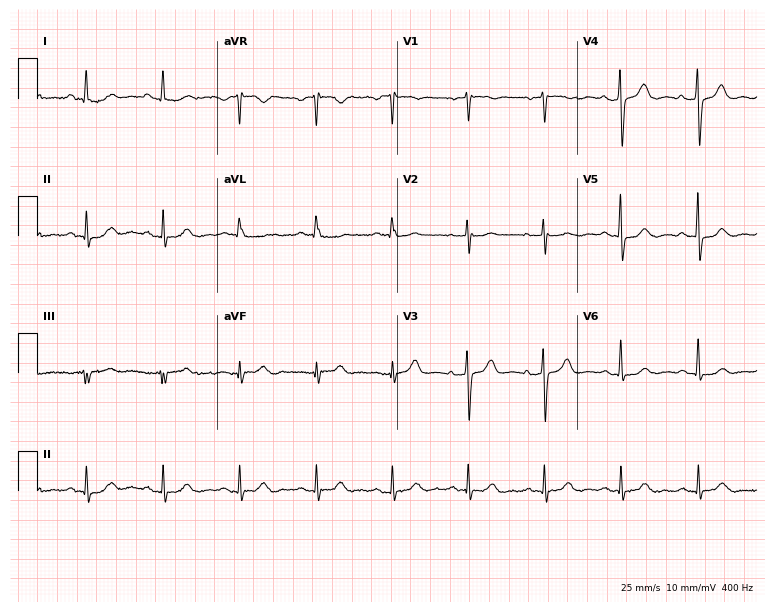
12-lead ECG from a 62-year-old male patient. No first-degree AV block, right bundle branch block, left bundle branch block, sinus bradycardia, atrial fibrillation or sinus tachycardia recorded for this tracing.